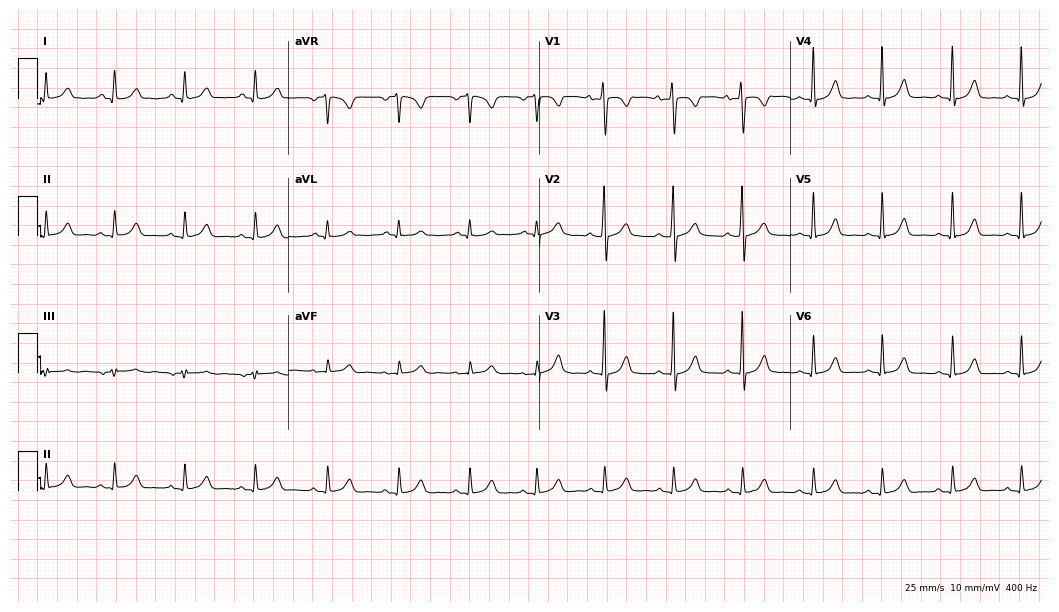
ECG (10.2-second recording at 400 Hz) — an 18-year-old woman. Labelled as a normal ECG.